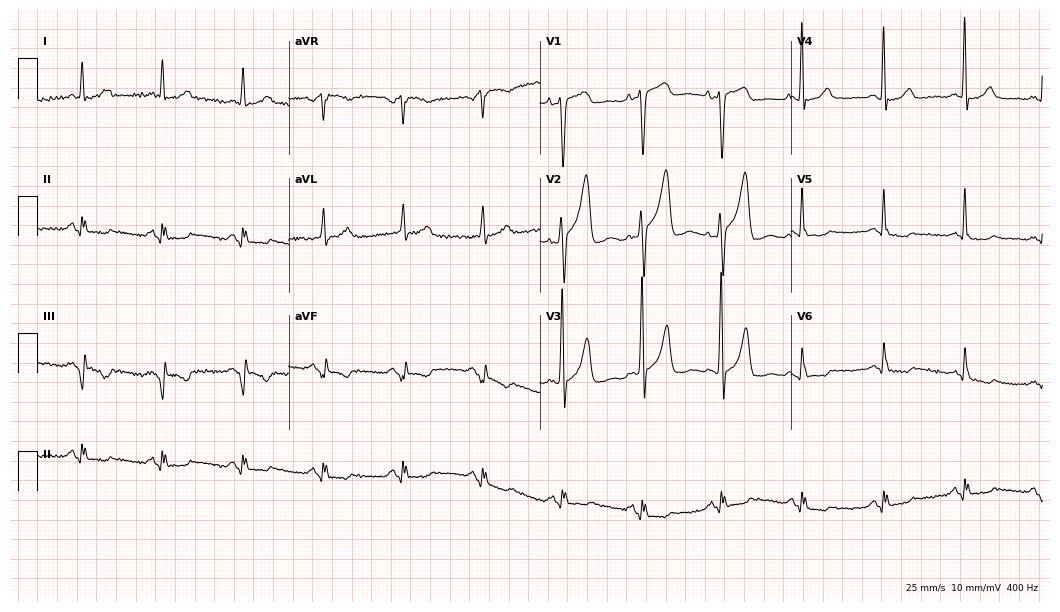
Electrocardiogram, a 70-year-old man. Overall reading on record: normal ECG.